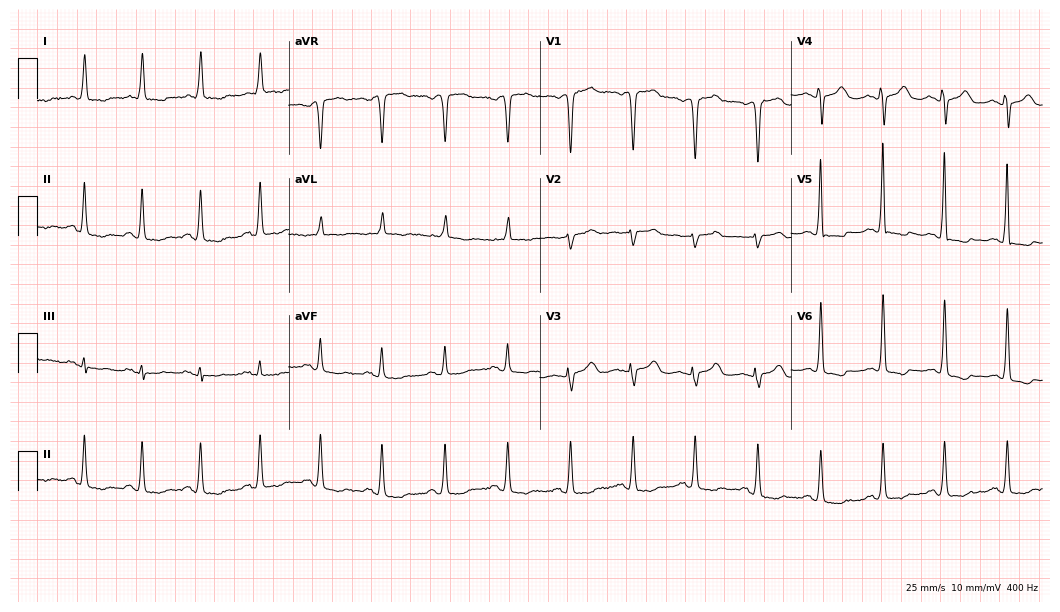
ECG (10.2-second recording at 400 Hz) — a woman, 67 years old. Screened for six findings — first-degree AV block, right bundle branch block (RBBB), left bundle branch block (LBBB), sinus bradycardia, atrial fibrillation (AF), sinus tachycardia — none is recorded.